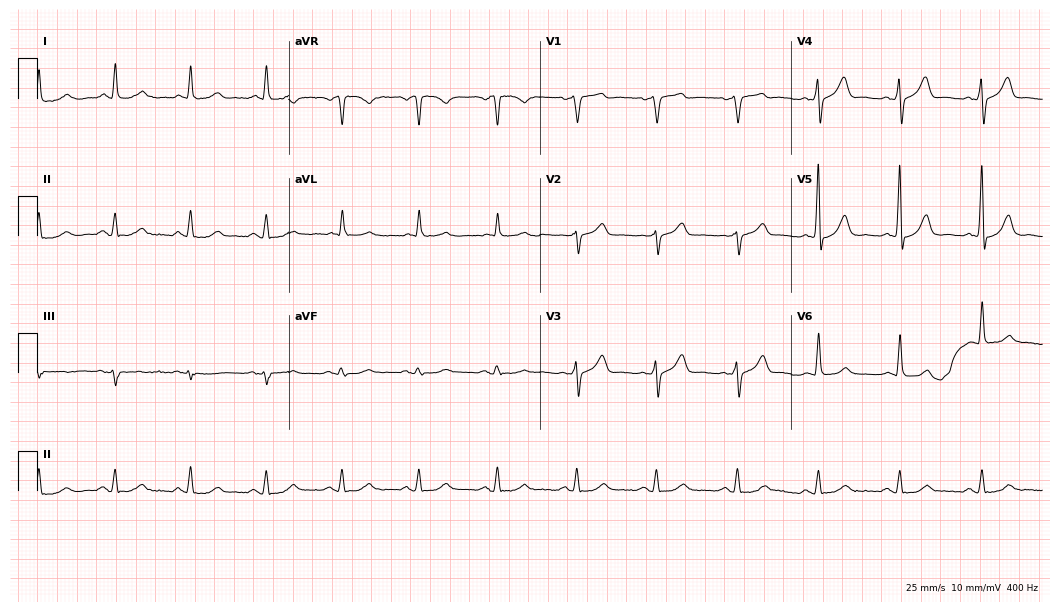
ECG — a 74-year-old man. Labelled as a normal ECG.